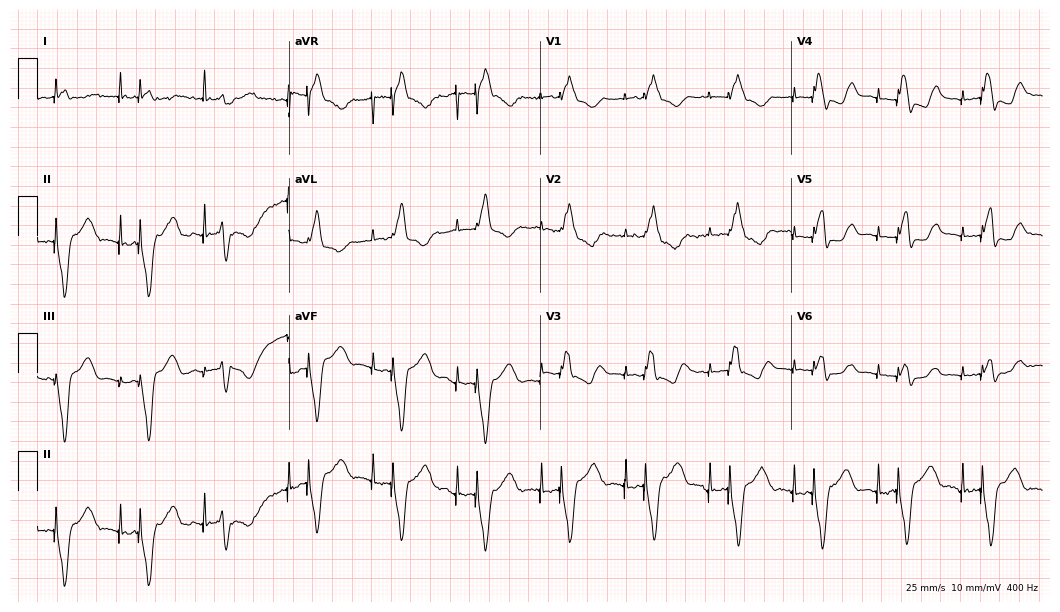
Electrocardiogram, an 85-year-old man. Of the six screened findings (first-degree AV block, right bundle branch block, left bundle branch block, sinus bradycardia, atrial fibrillation, sinus tachycardia), none is recorded.